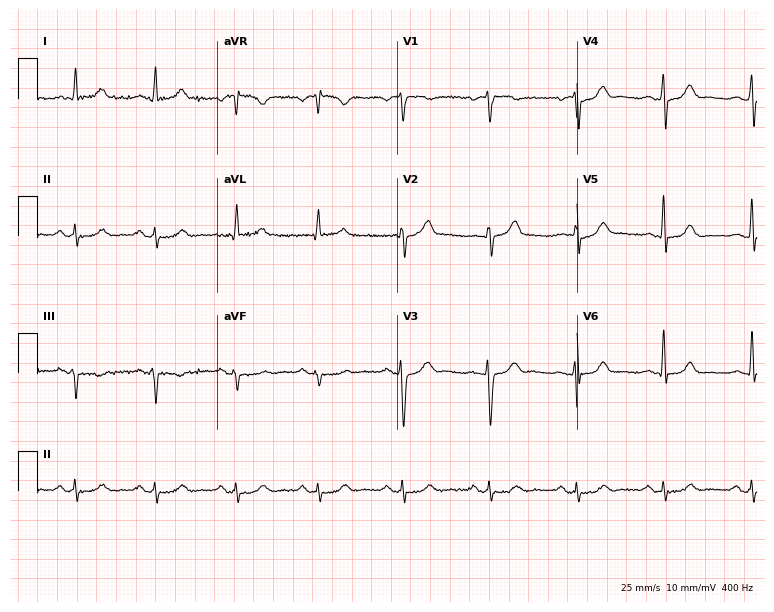
ECG — a male, 71 years old. Labelled as a normal ECG.